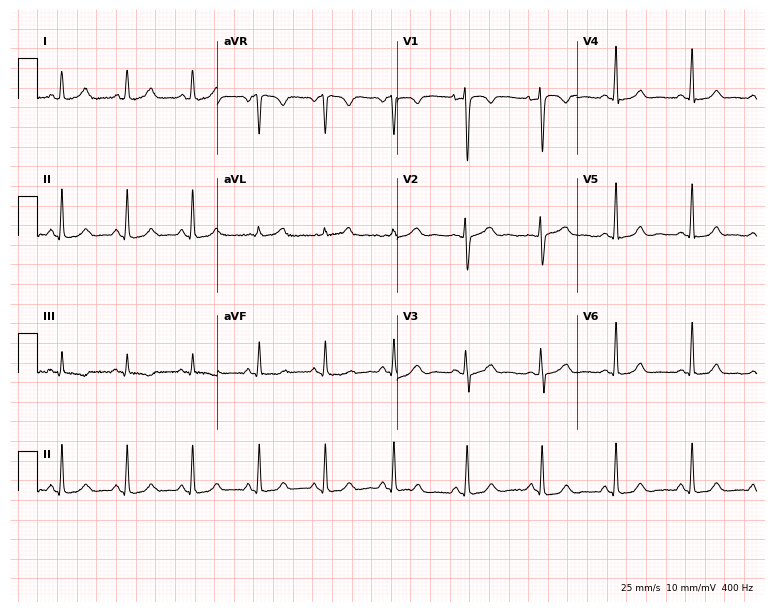
Standard 12-lead ECG recorded from a 32-year-old female patient. None of these six findings is recorded: first-degree AV block, right bundle branch block, left bundle branch block, sinus bradycardia, atrial fibrillation, sinus tachycardia. Findings outside these six are not listed.